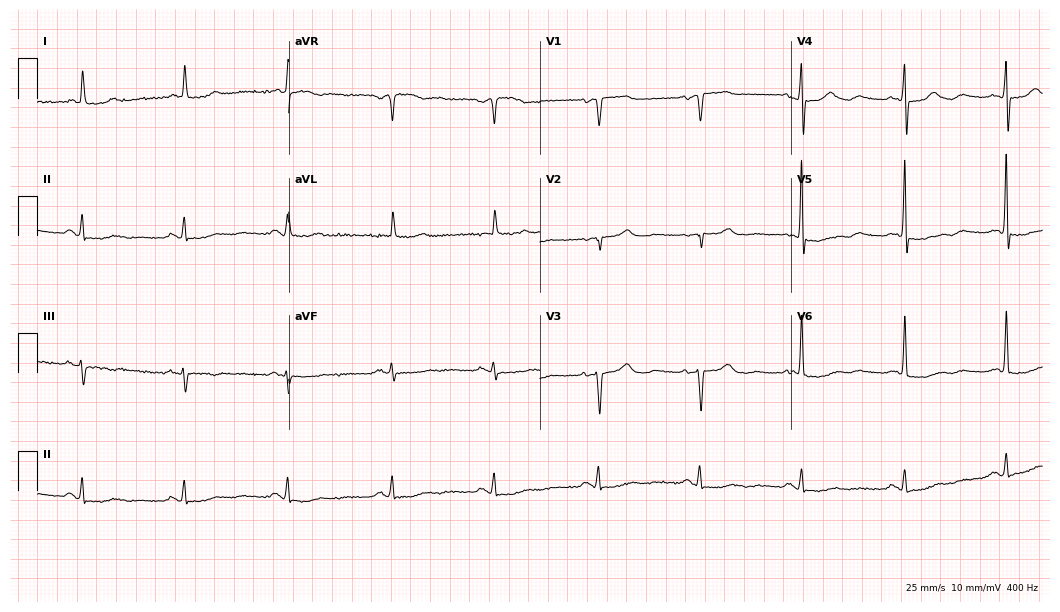
12-lead ECG (10.2-second recording at 400 Hz) from an 80-year-old female. Screened for six findings — first-degree AV block, right bundle branch block, left bundle branch block, sinus bradycardia, atrial fibrillation, sinus tachycardia — none is recorded.